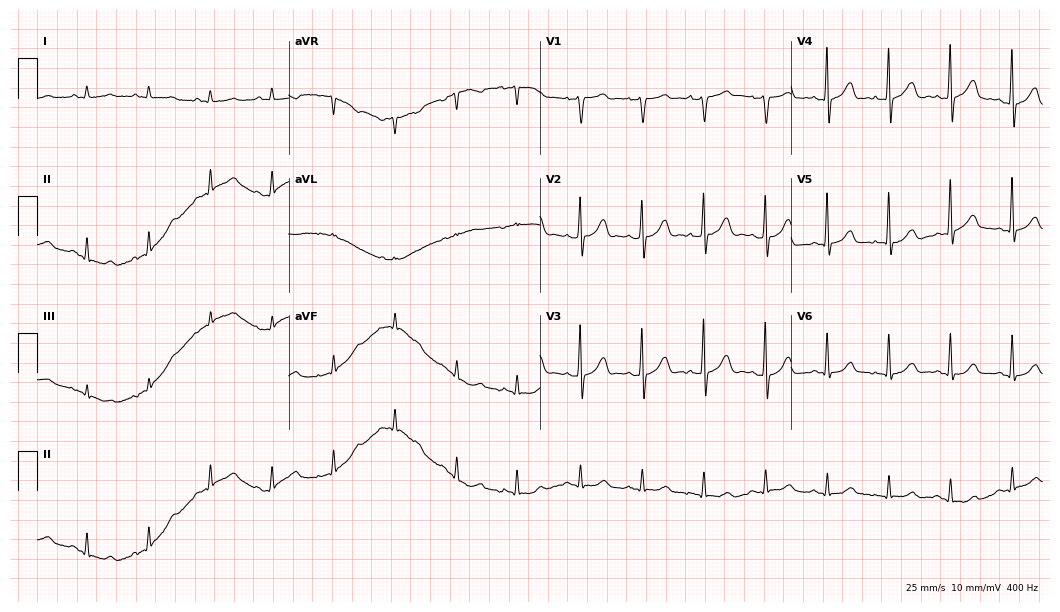
ECG — a male, 80 years old. Labelled as a normal ECG.